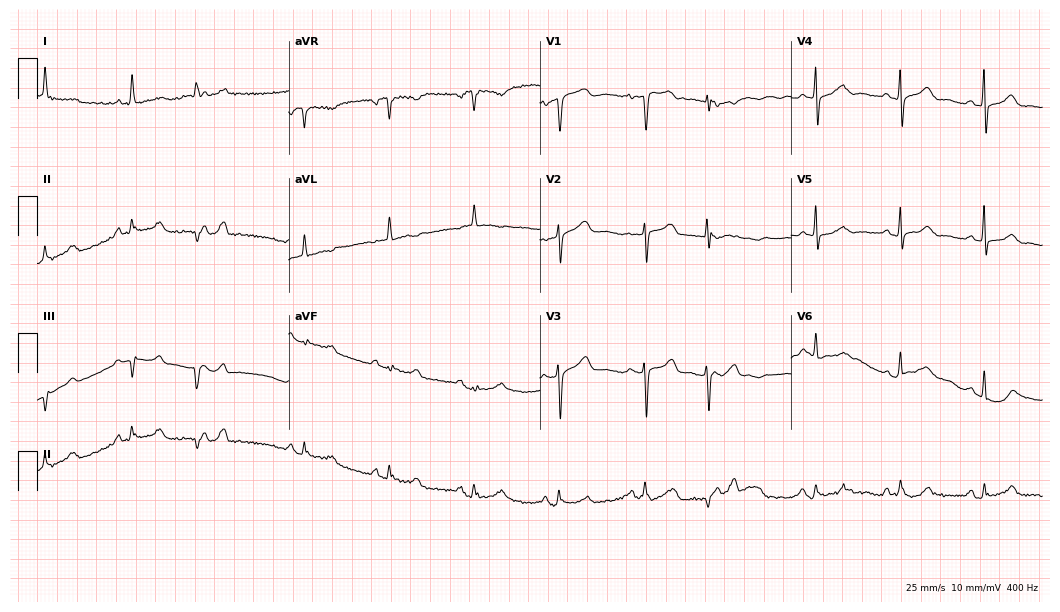
12-lead ECG from a female, 77 years old. Screened for six findings — first-degree AV block, right bundle branch block, left bundle branch block, sinus bradycardia, atrial fibrillation, sinus tachycardia — none is recorded.